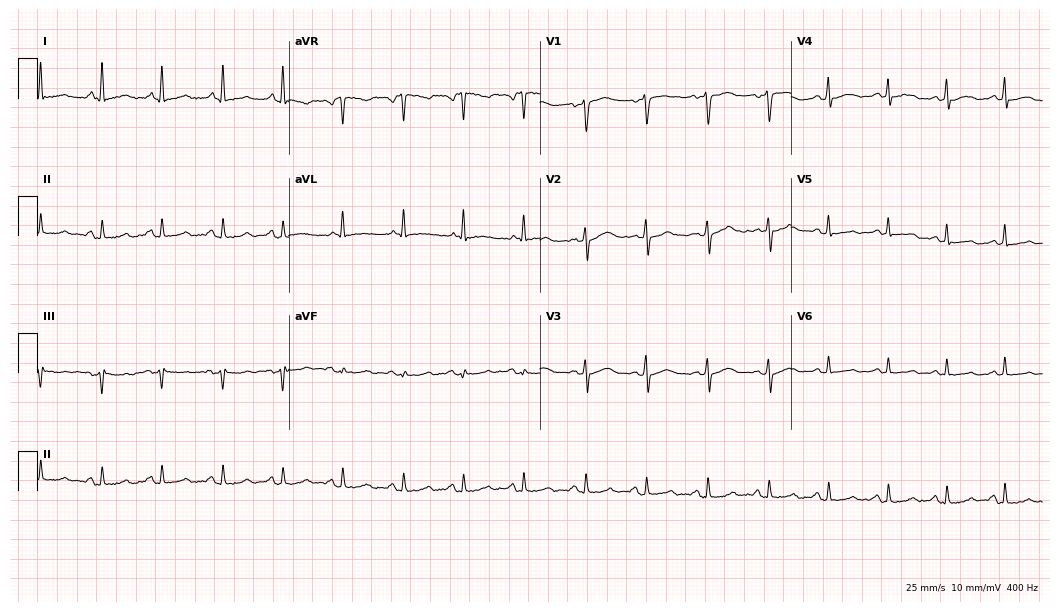
12-lead ECG from a female, 27 years old (10.2-second recording at 400 Hz). No first-degree AV block, right bundle branch block (RBBB), left bundle branch block (LBBB), sinus bradycardia, atrial fibrillation (AF) or sinus tachycardia recorded for this tracing. Findings outside these six are not listed.